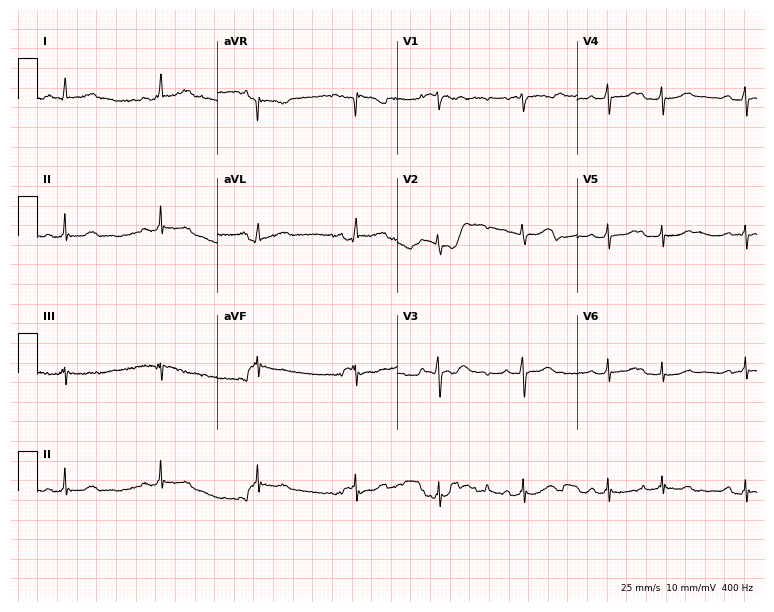
ECG (7.3-second recording at 400 Hz) — a female, 67 years old. Screened for six findings — first-degree AV block, right bundle branch block, left bundle branch block, sinus bradycardia, atrial fibrillation, sinus tachycardia — none is recorded.